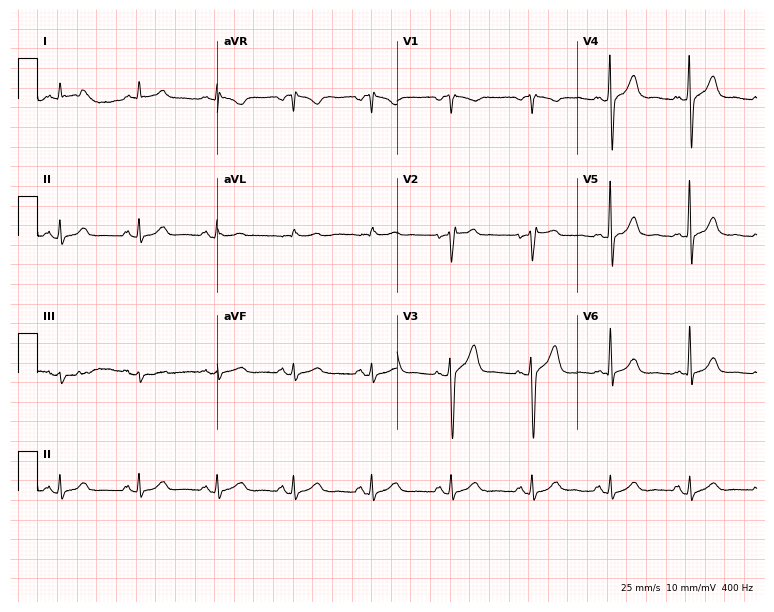
ECG — a 62-year-old male patient. Labelled as a normal ECG.